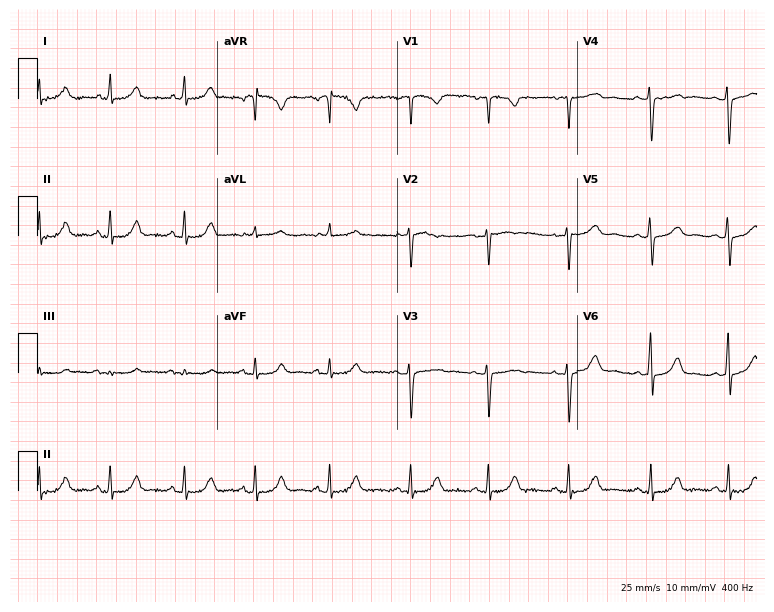
Standard 12-lead ECG recorded from a 37-year-old female (7.3-second recording at 400 Hz). Read as a normal ECG.